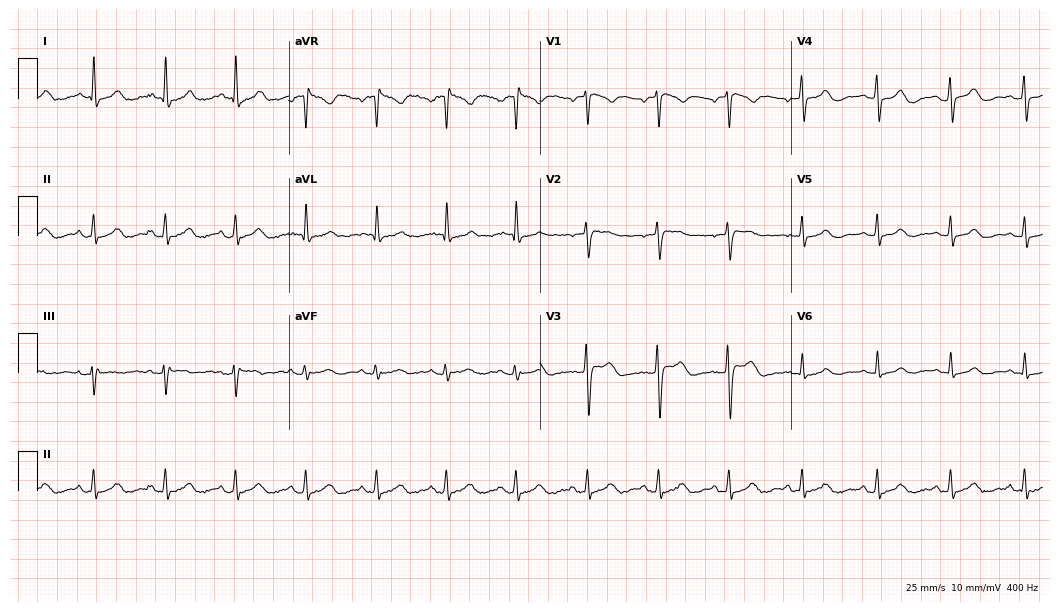
Resting 12-lead electrocardiogram (10.2-second recording at 400 Hz). Patient: a woman, 53 years old. None of these six findings is recorded: first-degree AV block, right bundle branch block, left bundle branch block, sinus bradycardia, atrial fibrillation, sinus tachycardia. Other findings, if any, are not listed.